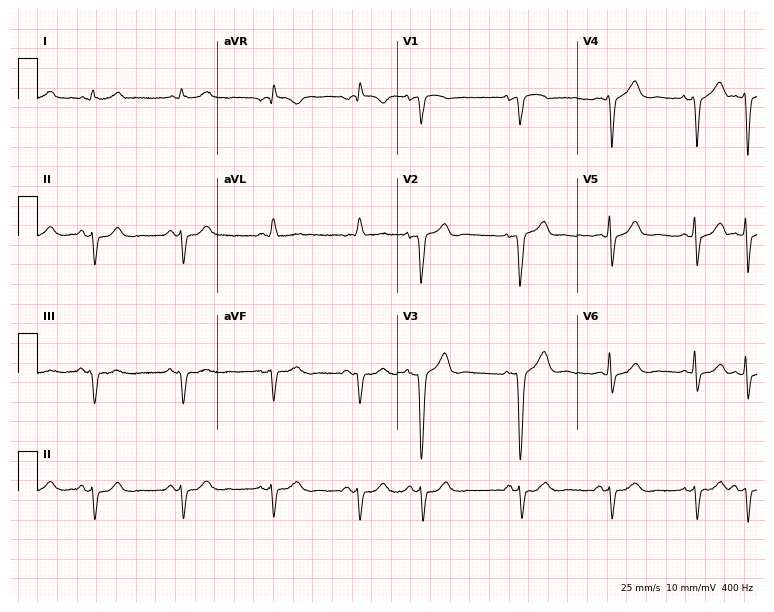
Electrocardiogram, a male patient, 57 years old. Of the six screened findings (first-degree AV block, right bundle branch block, left bundle branch block, sinus bradycardia, atrial fibrillation, sinus tachycardia), none is recorded.